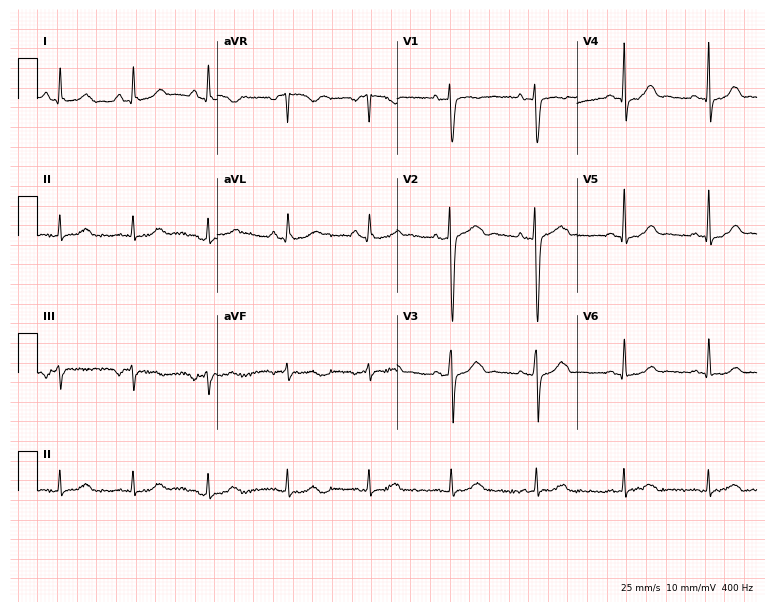
ECG — a 34-year-old woman. Labelled as a normal ECG.